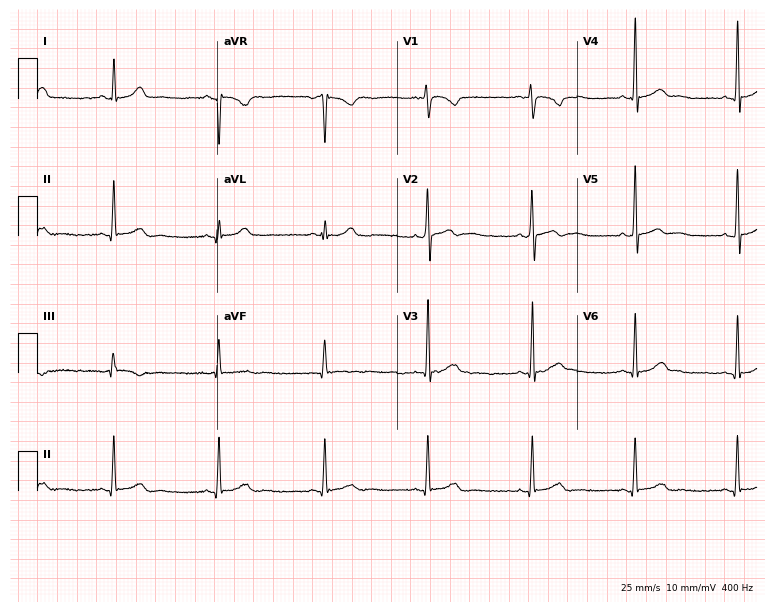
Standard 12-lead ECG recorded from a 20-year-old woman (7.3-second recording at 400 Hz). None of these six findings is recorded: first-degree AV block, right bundle branch block, left bundle branch block, sinus bradycardia, atrial fibrillation, sinus tachycardia. Only these six findings were labelled.